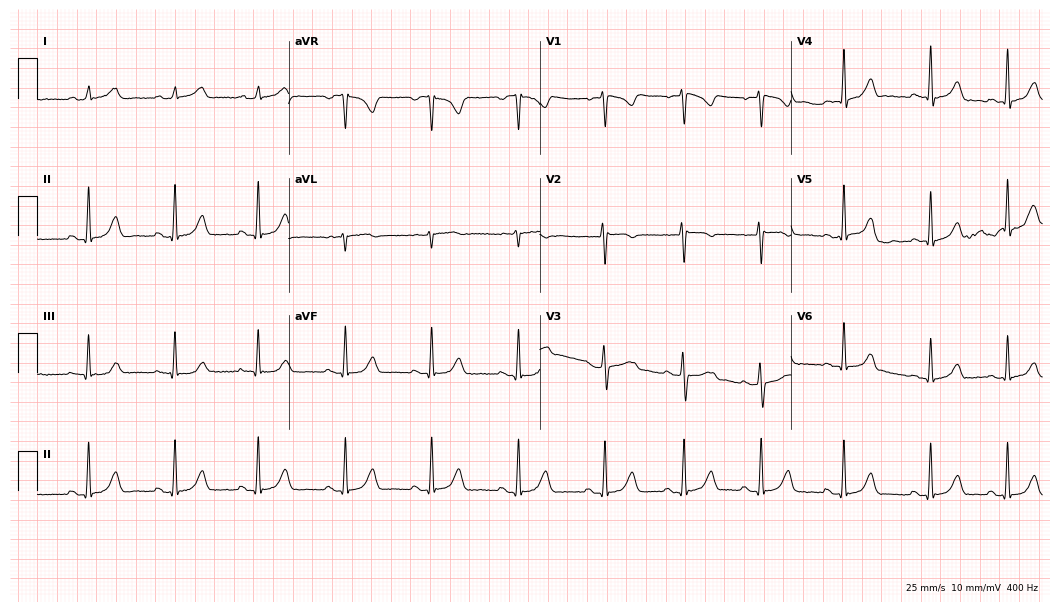
Standard 12-lead ECG recorded from a female, 18 years old (10.2-second recording at 400 Hz). Read as a normal ECG.